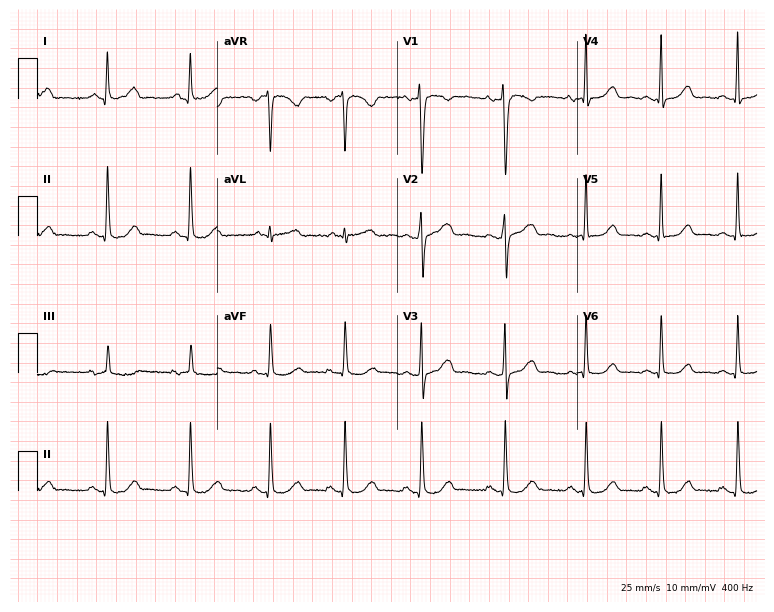
ECG (7.3-second recording at 400 Hz) — a 45-year-old woman. Labelled as a normal ECG.